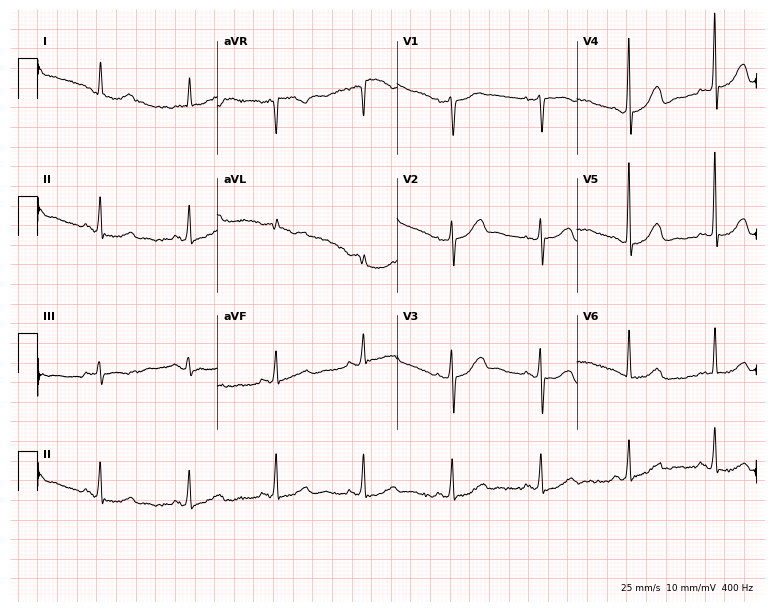
Resting 12-lead electrocardiogram. Patient: a 72-year-old woman. None of these six findings is recorded: first-degree AV block, right bundle branch block (RBBB), left bundle branch block (LBBB), sinus bradycardia, atrial fibrillation (AF), sinus tachycardia.